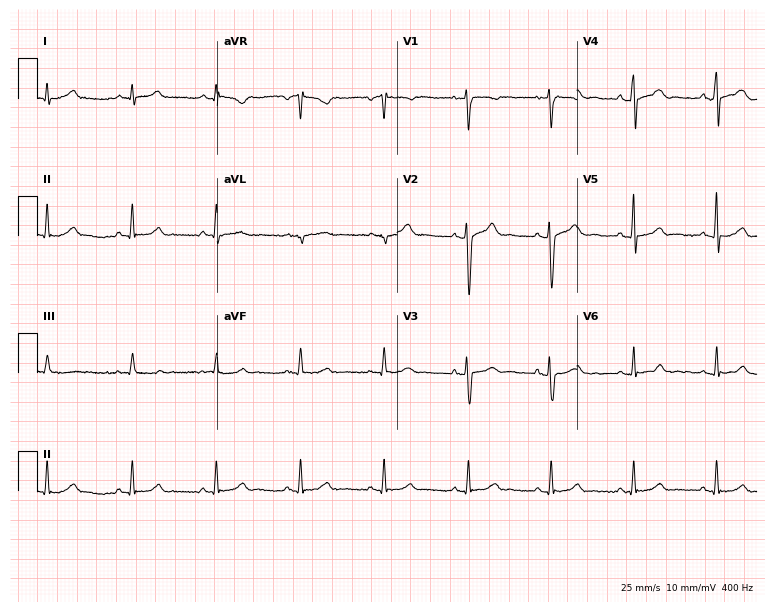
12-lead ECG from a 41-year-old male patient. Labelled as a normal ECG.